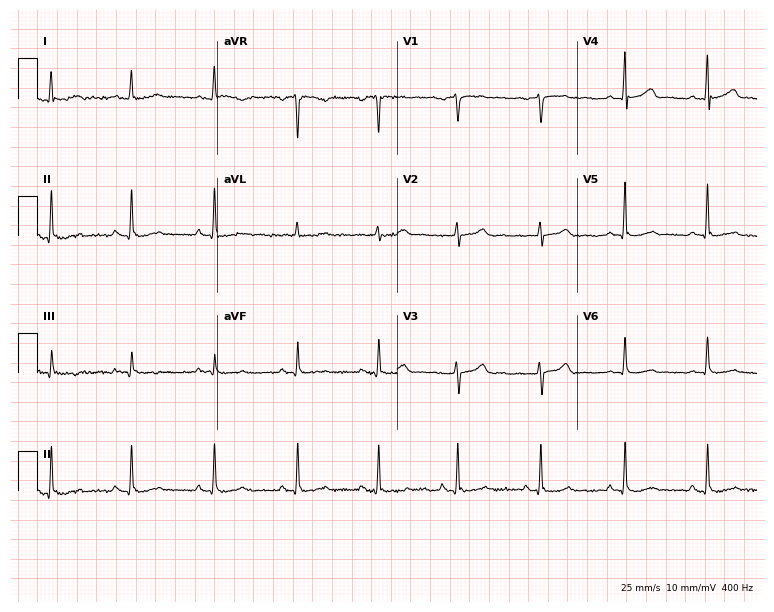
12-lead ECG from a 65-year-old woman. Screened for six findings — first-degree AV block, right bundle branch block, left bundle branch block, sinus bradycardia, atrial fibrillation, sinus tachycardia — none is recorded.